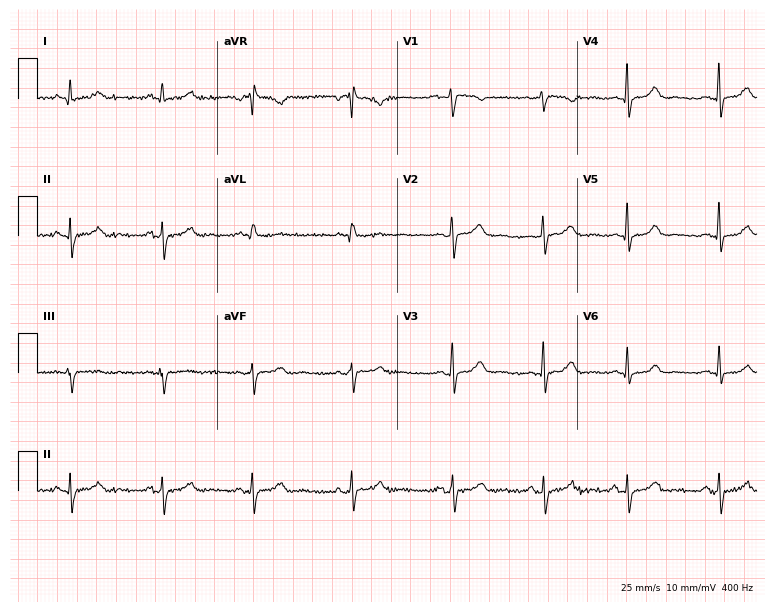
Electrocardiogram, a 23-year-old female. Of the six screened findings (first-degree AV block, right bundle branch block, left bundle branch block, sinus bradycardia, atrial fibrillation, sinus tachycardia), none is recorded. Only these six findings were labelled.